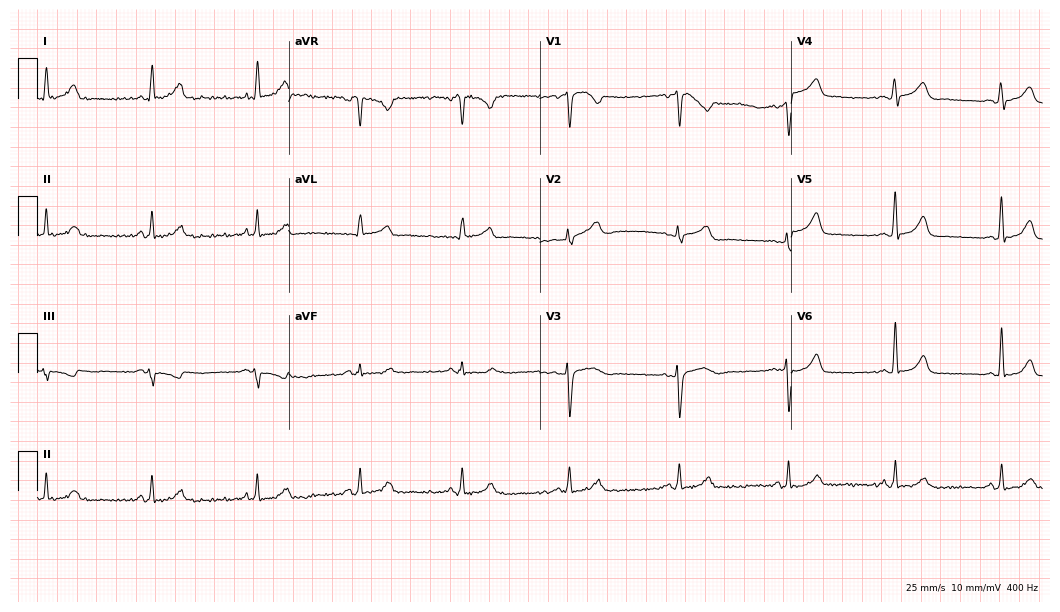
ECG — a female patient, 58 years old. Labelled as a normal ECG.